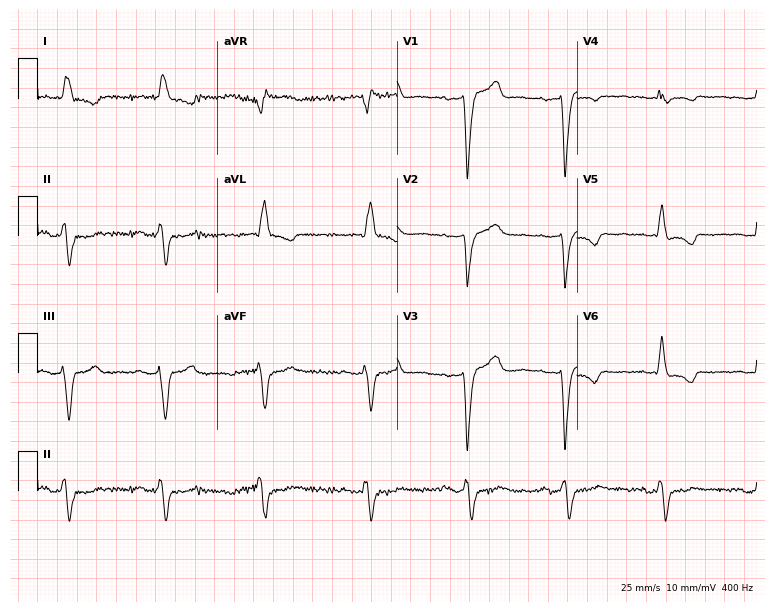
Electrocardiogram, a 78-year-old man. Interpretation includes left bundle branch block (LBBB).